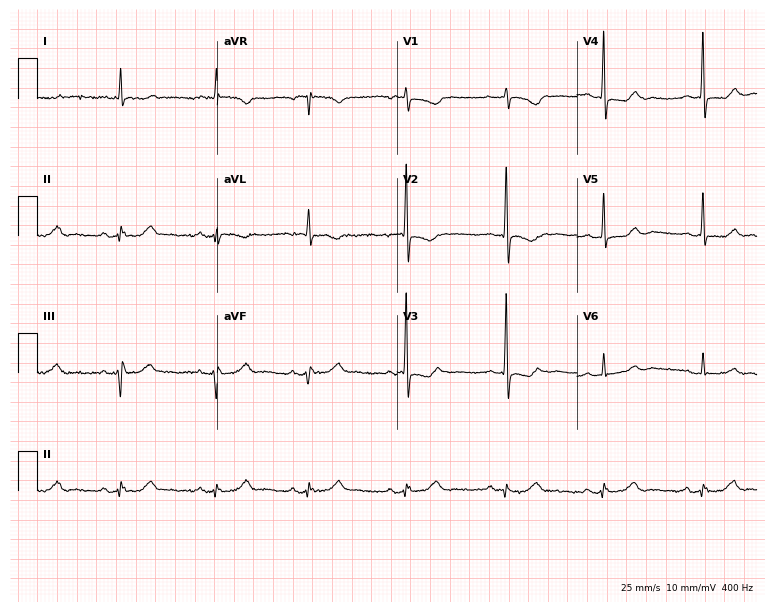
ECG — a 78-year-old female patient. Screened for six findings — first-degree AV block, right bundle branch block (RBBB), left bundle branch block (LBBB), sinus bradycardia, atrial fibrillation (AF), sinus tachycardia — none is recorded.